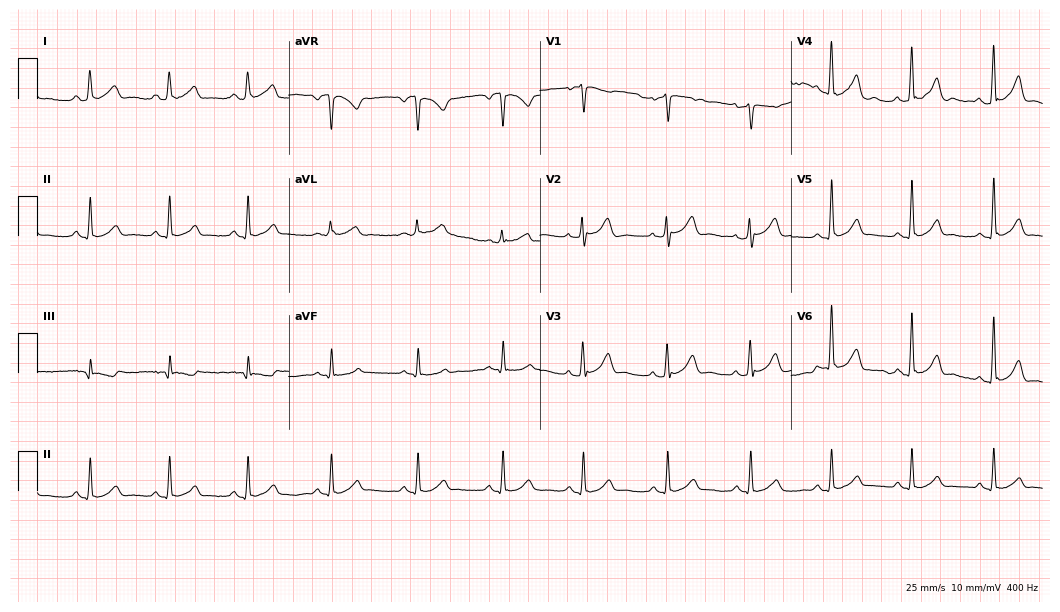
Electrocardiogram, a female, 39 years old. Overall reading on record: normal ECG.